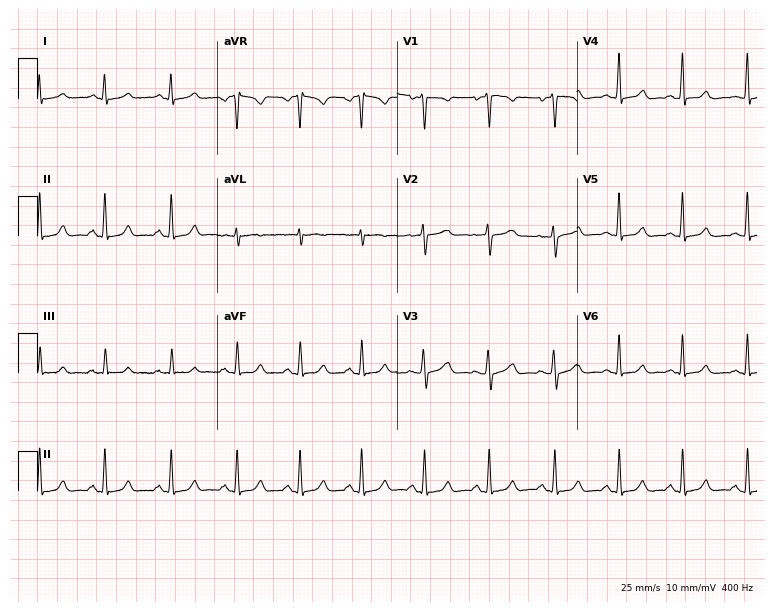
Resting 12-lead electrocardiogram (7.3-second recording at 400 Hz). Patient: a female, 28 years old. Read as a normal ECG.